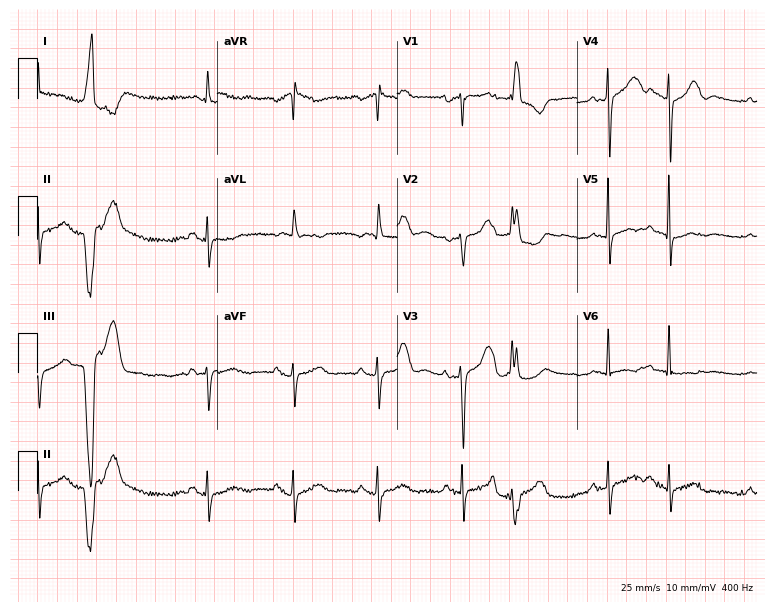
ECG (7.3-second recording at 400 Hz) — a female, 81 years old. Screened for six findings — first-degree AV block, right bundle branch block, left bundle branch block, sinus bradycardia, atrial fibrillation, sinus tachycardia — none is recorded.